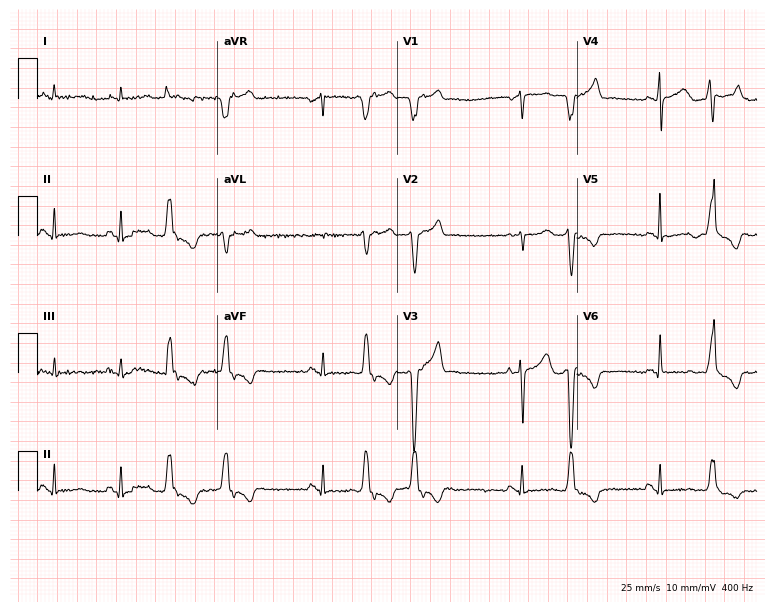
Resting 12-lead electrocardiogram (7.3-second recording at 400 Hz). Patient: a male, 79 years old. None of these six findings is recorded: first-degree AV block, right bundle branch block, left bundle branch block, sinus bradycardia, atrial fibrillation, sinus tachycardia. Only these six findings were labelled.